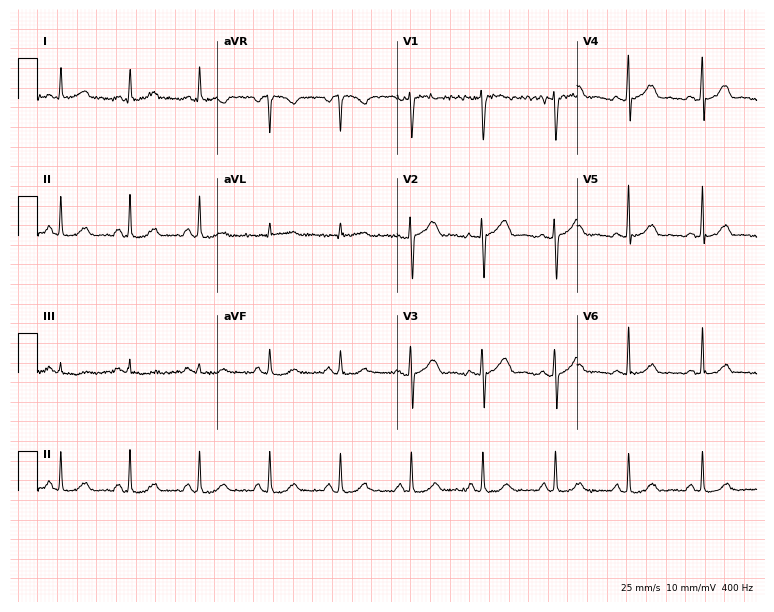
12-lead ECG from a 47-year-old woman (7.3-second recording at 400 Hz). Recorded interpretation: within normal limits.